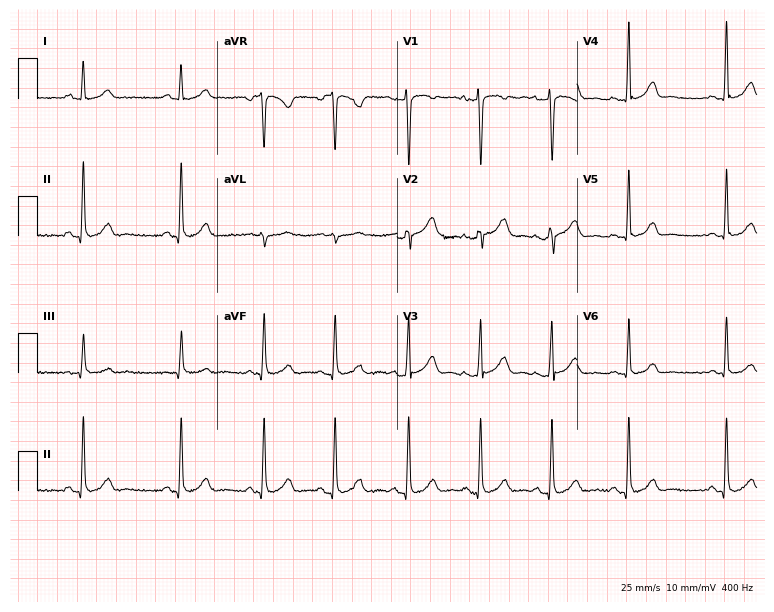
12-lead ECG (7.3-second recording at 400 Hz) from a female, 20 years old. Labelled as a normal ECG.